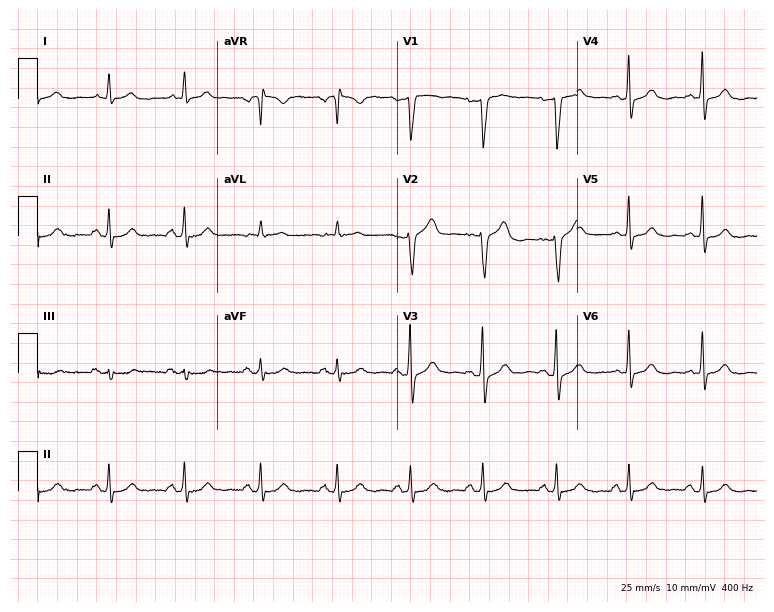
Electrocardiogram (7.3-second recording at 400 Hz), a female, 50 years old. Of the six screened findings (first-degree AV block, right bundle branch block (RBBB), left bundle branch block (LBBB), sinus bradycardia, atrial fibrillation (AF), sinus tachycardia), none is recorded.